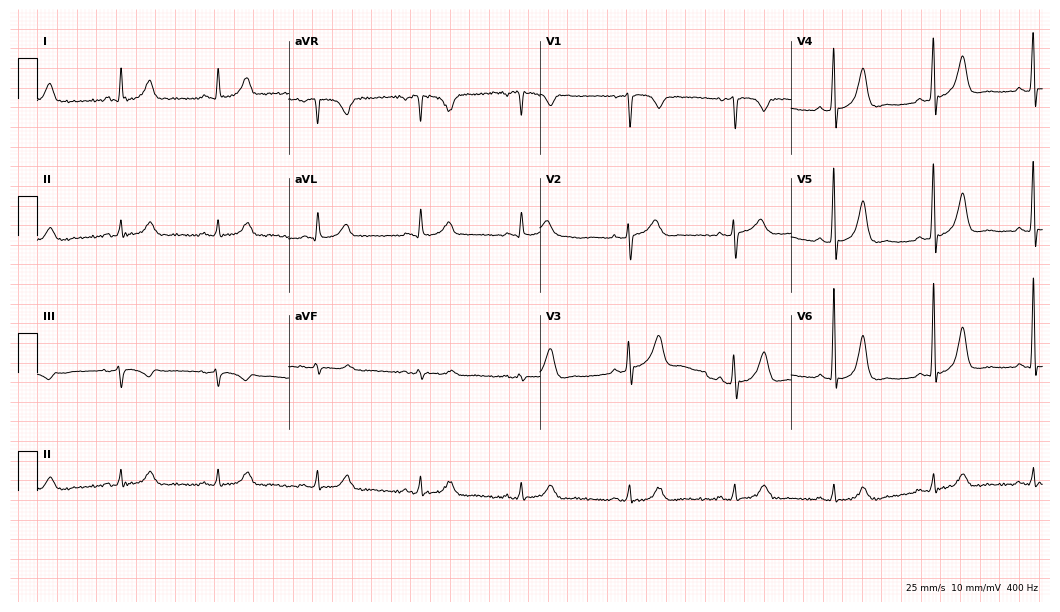
12-lead ECG (10.2-second recording at 400 Hz) from a male, 54 years old. Labelled as a normal ECG.